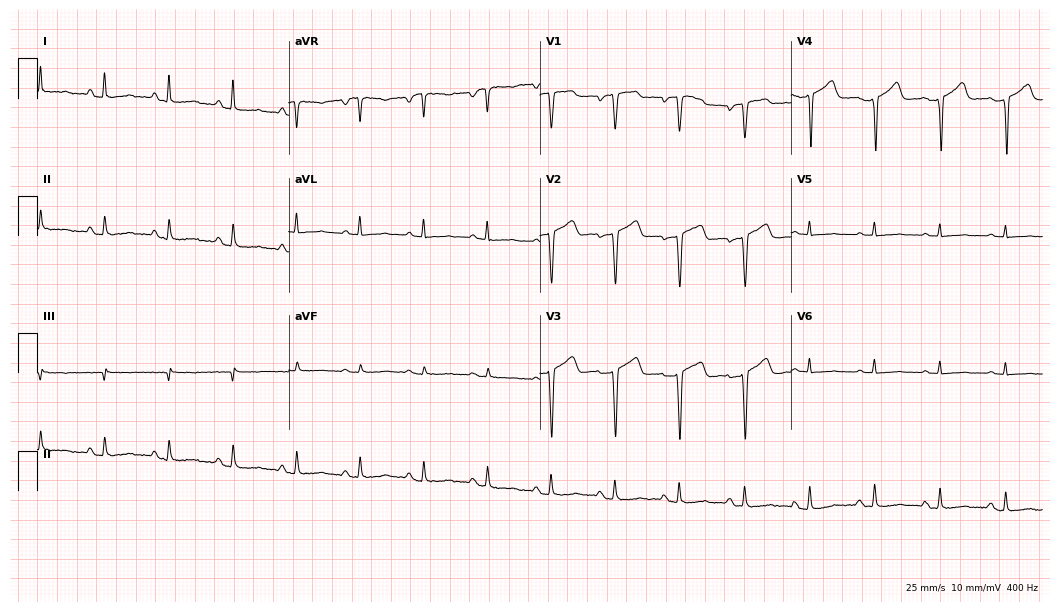
Electrocardiogram (10.2-second recording at 400 Hz), a 69-year-old female. Of the six screened findings (first-degree AV block, right bundle branch block, left bundle branch block, sinus bradycardia, atrial fibrillation, sinus tachycardia), none is recorded. Only these six findings were labelled.